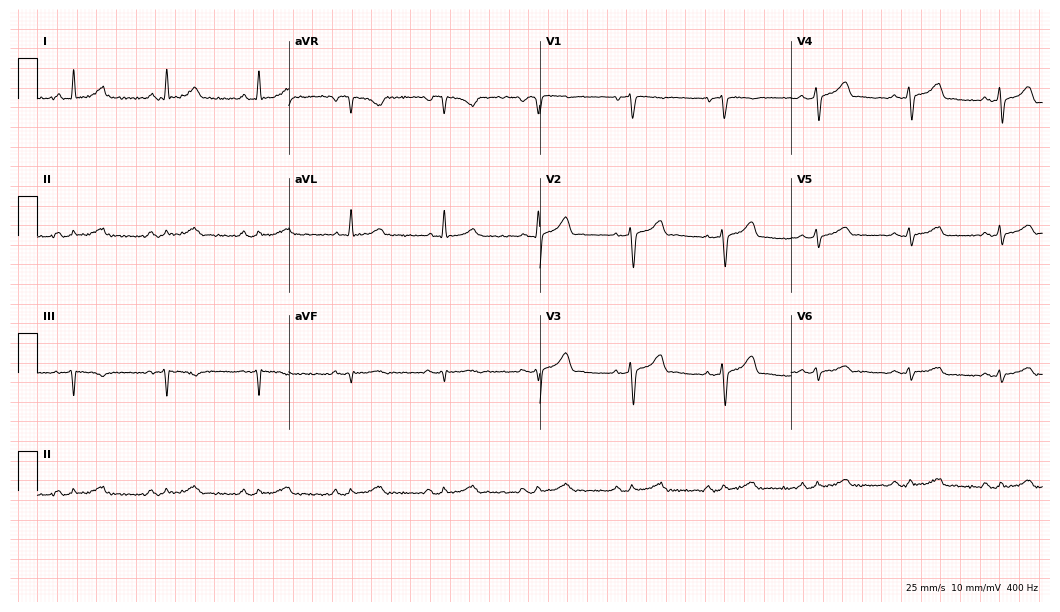
Electrocardiogram (10.2-second recording at 400 Hz), a 45-year-old male patient. Of the six screened findings (first-degree AV block, right bundle branch block (RBBB), left bundle branch block (LBBB), sinus bradycardia, atrial fibrillation (AF), sinus tachycardia), none is recorded.